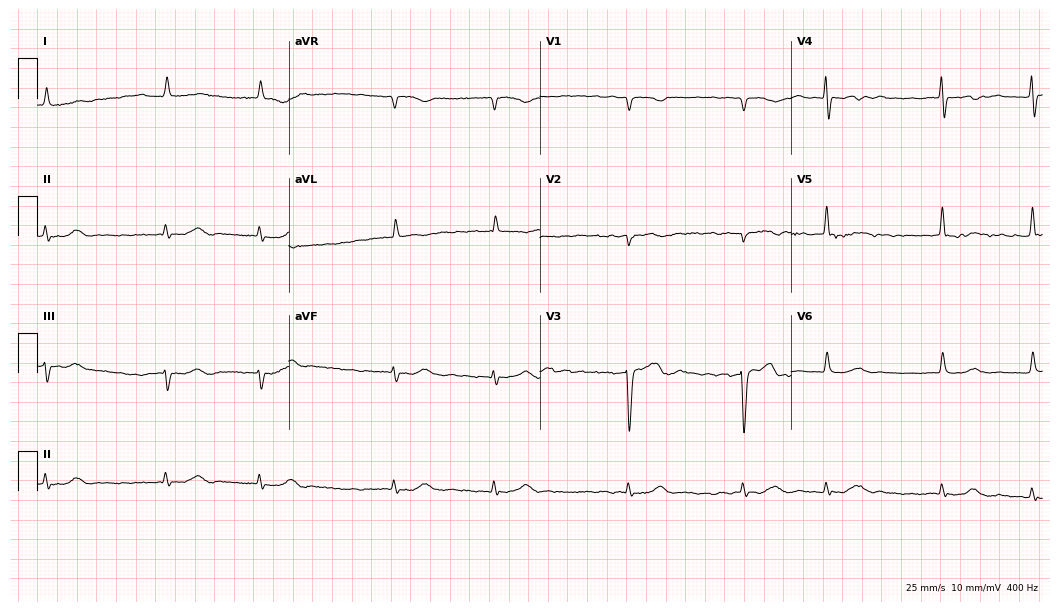
12-lead ECG from a 74-year-old female (10.2-second recording at 400 Hz). Shows atrial fibrillation.